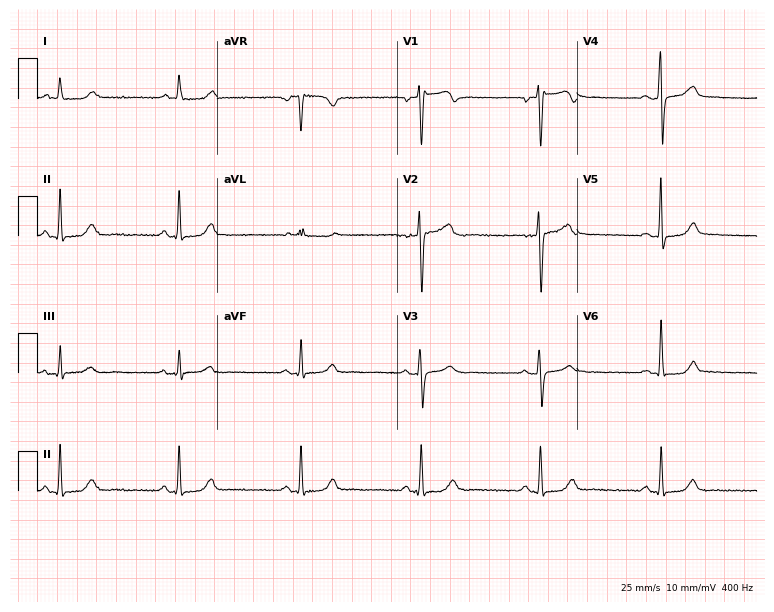
Resting 12-lead electrocardiogram. Patient: a male, 61 years old. The tracing shows sinus bradycardia (a sinus rate of 50 beats per minute or less).